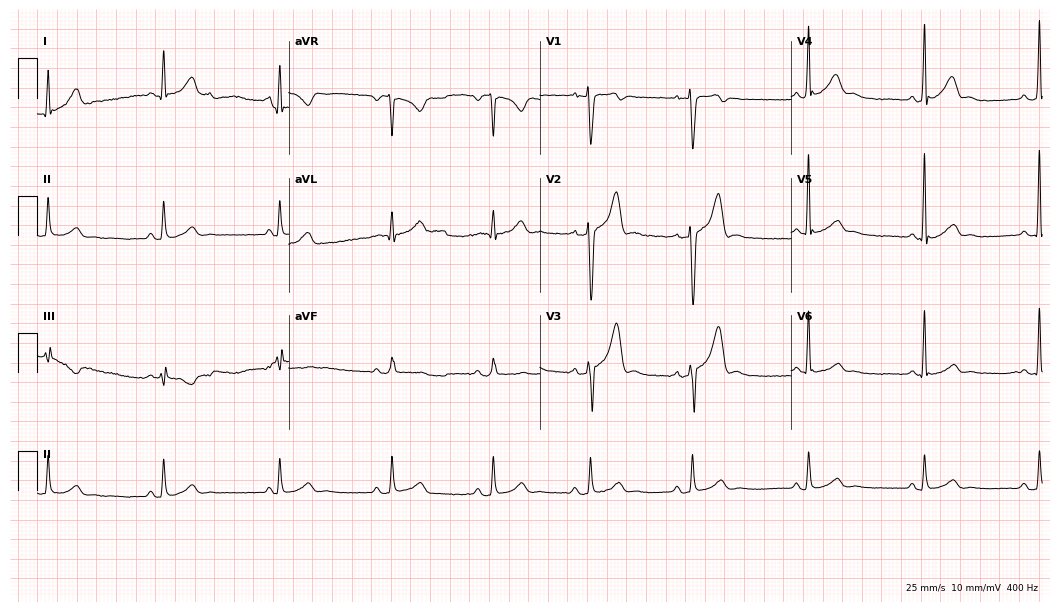
ECG (10.2-second recording at 400 Hz) — a male, 26 years old. Labelled as a normal ECG.